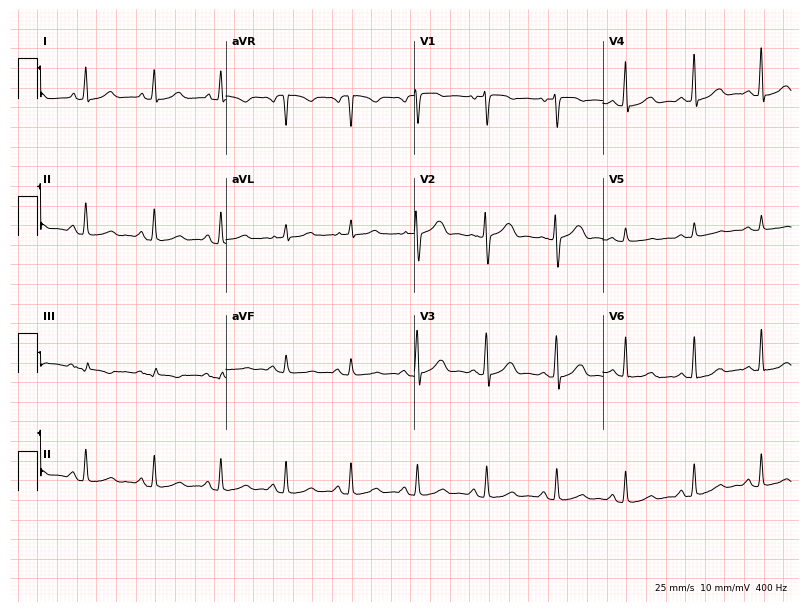
Resting 12-lead electrocardiogram. Patient: a 44-year-old female. None of these six findings is recorded: first-degree AV block, right bundle branch block (RBBB), left bundle branch block (LBBB), sinus bradycardia, atrial fibrillation (AF), sinus tachycardia. Other findings, if any, are not listed.